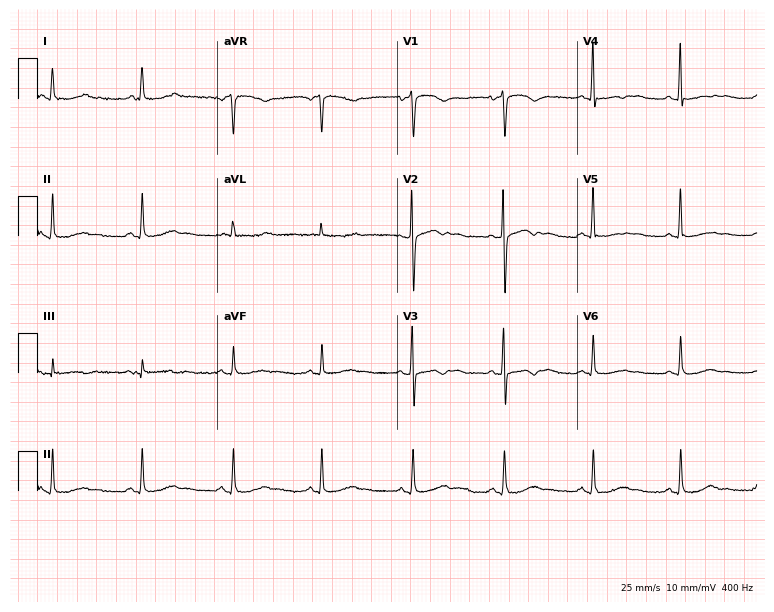
Electrocardiogram (7.3-second recording at 400 Hz), a 78-year-old female. Of the six screened findings (first-degree AV block, right bundle branch block (RBBB), left bundle branch block (LBBB), sinus bradycardia, atrial fibrillation (AF), sinus tachycardia), none is recorded.